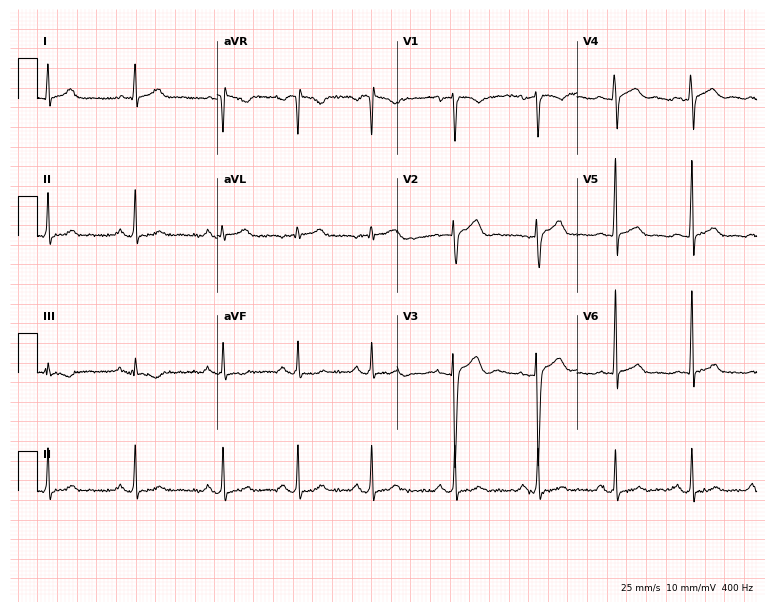
Electrocardiogram, a male patient, 34 years old. Of the six screened findings (first-degree AV block, right bundle branch block, left bundle branch block, sinus bradycardia, atrial fibrillation, sinus tachycardia), none is recorded. Only these six findings were labelled.